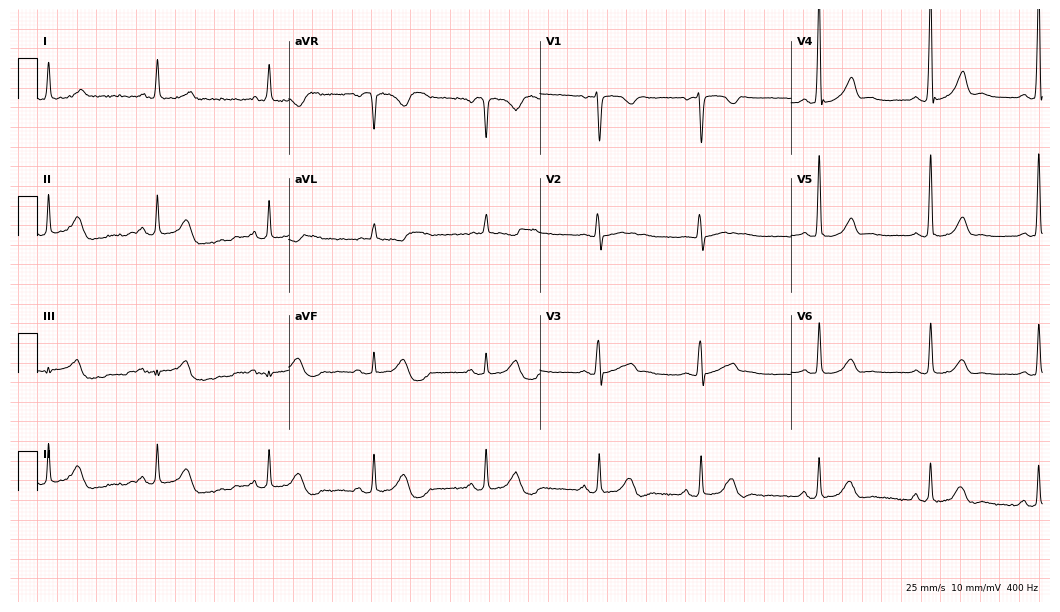
ECG (10.2-second recording at 400 Hz) — a 50-year-old female patient. Labelled as a normal ECG.